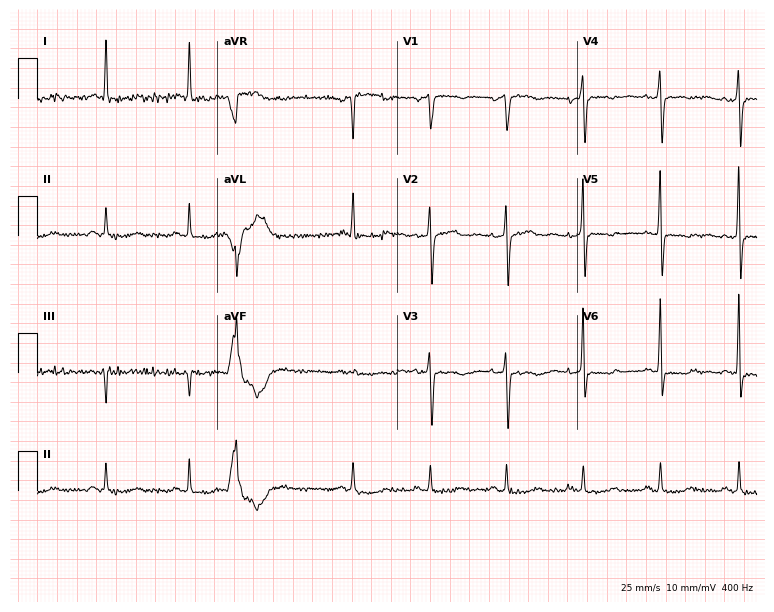
Electrocardiogram (7.3-second recording at 400 Hz), a female patient, 67 years old. Of the six screened findings (first-degree AV block, right bundle branch block, left bundle branch block, sinus bradycardia, atrial fibrillation, sinus tachycardia), none is recorded.